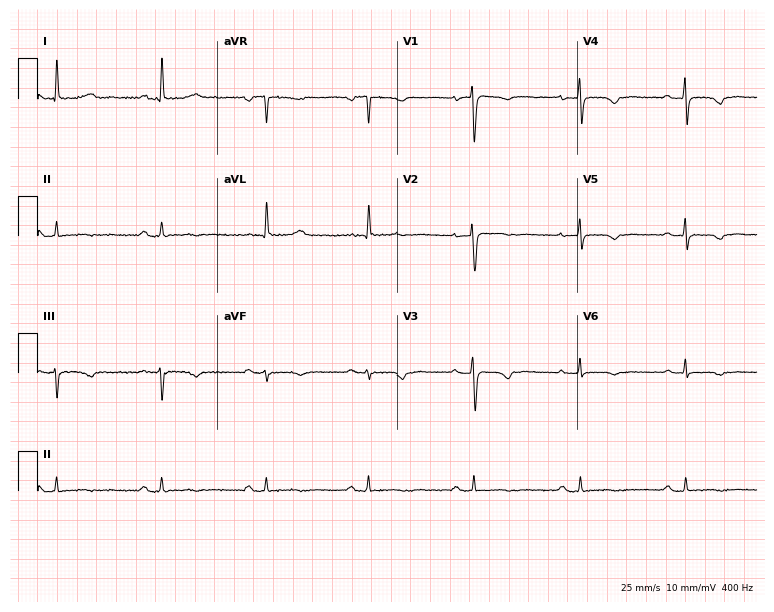
12-lead ECG from a woman, 55 years old. No first-degree AV block, right bundle branch block (RBBB), left bundle branch block (LBBB), sinus bradycardia, atrial fibrillation (AF) or sinus tachycardia recorded for this tracing.